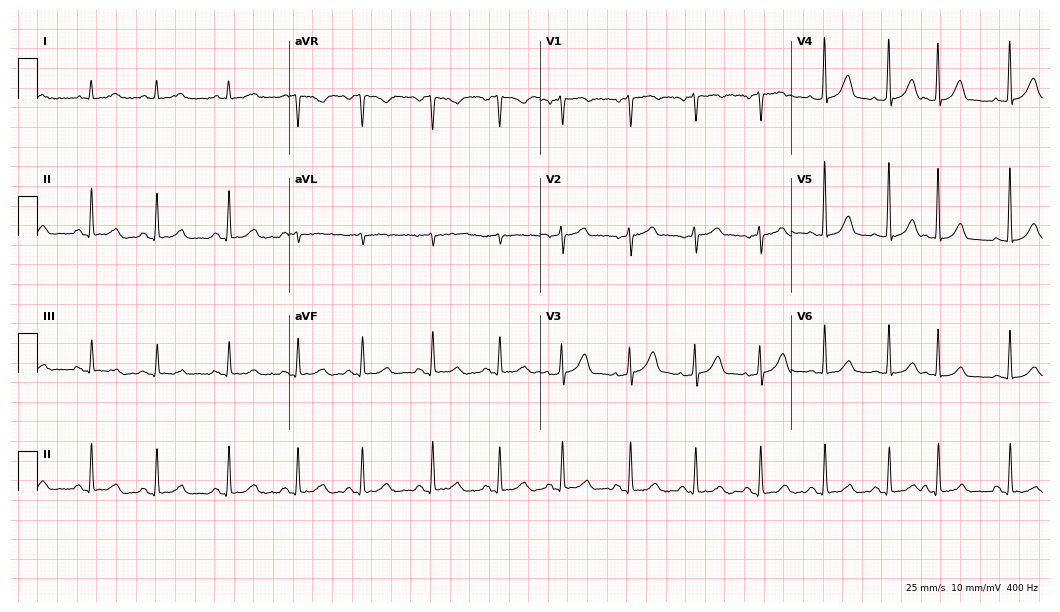
Resting 12-lead electrocardiogram. Patient: a man, 64 years old. None of these six findings is recorded: first-degree AV block, right bundle branch block, left bundle branch block, sinus bradycardia, atrial fibrillation, sinus tachycardia.